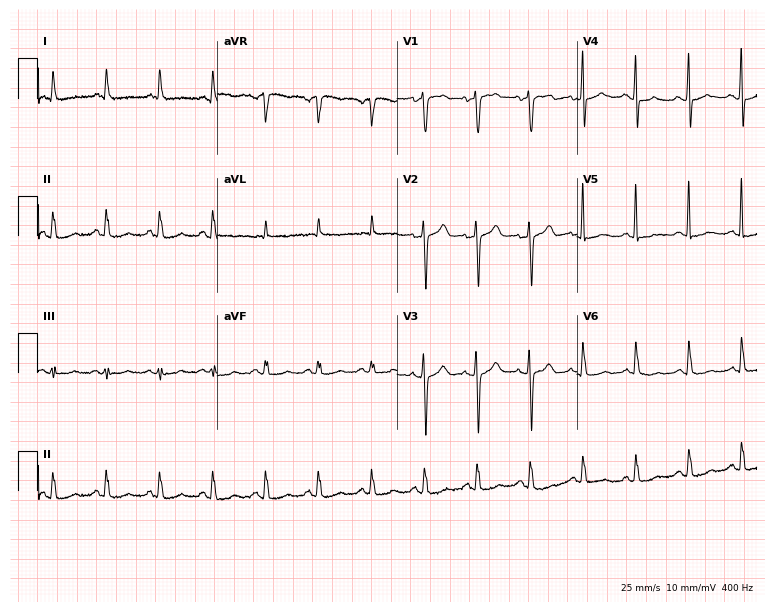
12-lead ECG (7.3-second recording at 400 Hz) from an 83-year-old male. Findings include sinus tachycardia (a sinus rate of 100 beats per minute or more).